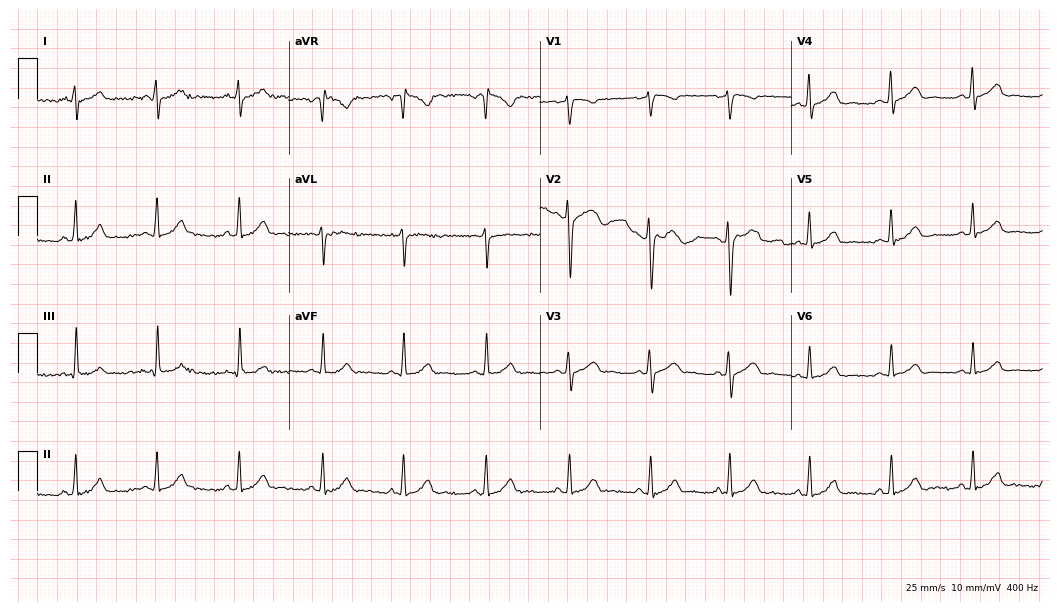
Standard 12-lead ECG recorded from a female, 25 years old (10.2-second recording at 400 Hz). Read as a normal ECG.